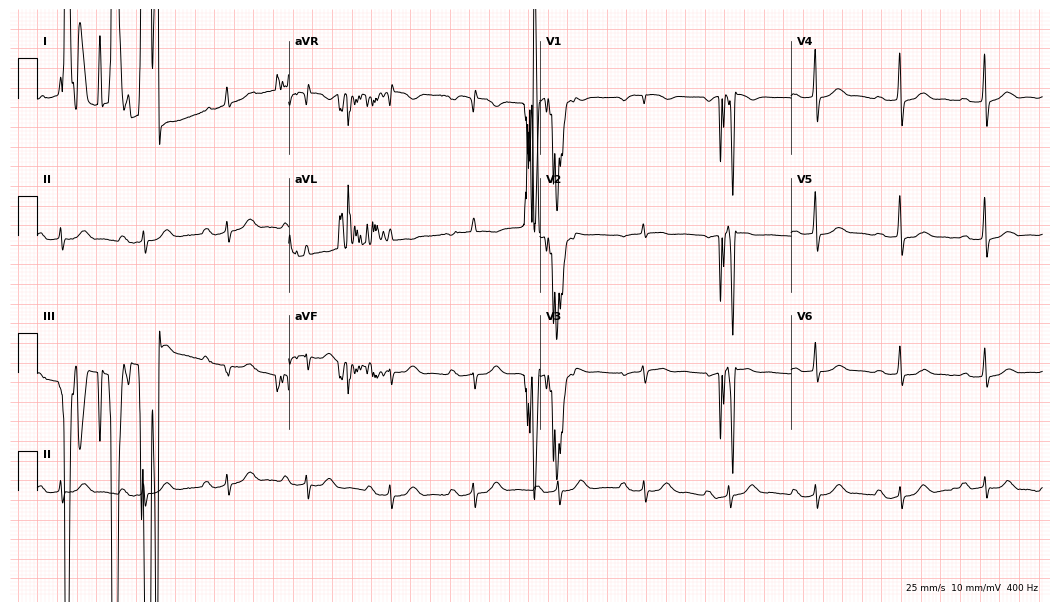
12-lead ECG from a male patient, 77 years old. Screened for six findings — first-degree AV block, right bundle branch block, left bundle branch block, sinus bradycardia, atrial fibrillation, sinus tachycardia — none is recorded. Other findings, if any, are not listed.